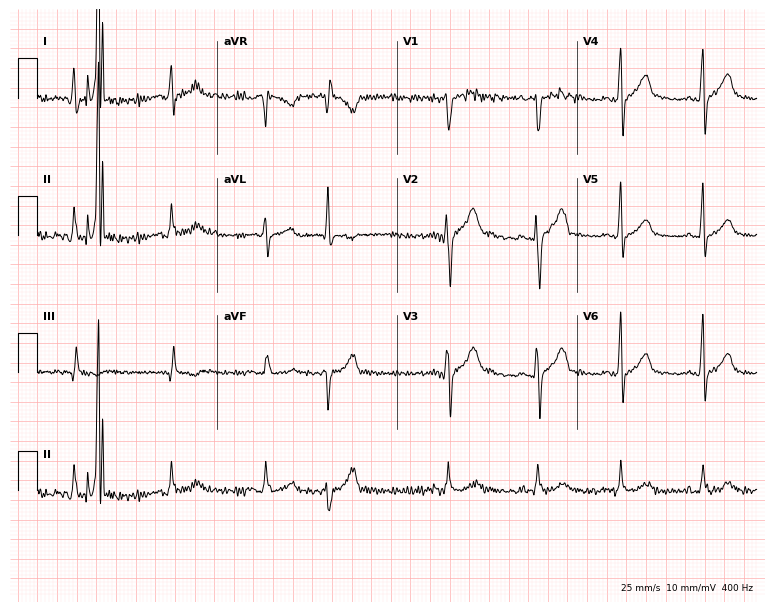
ECG — a male patient, 29 years old. Screened for six findings — first-degree AV block, right bundle branch block, left bundle branch block, sinus bradycardia, atrial fibrillation, sinus tachycardia — none is recorded.